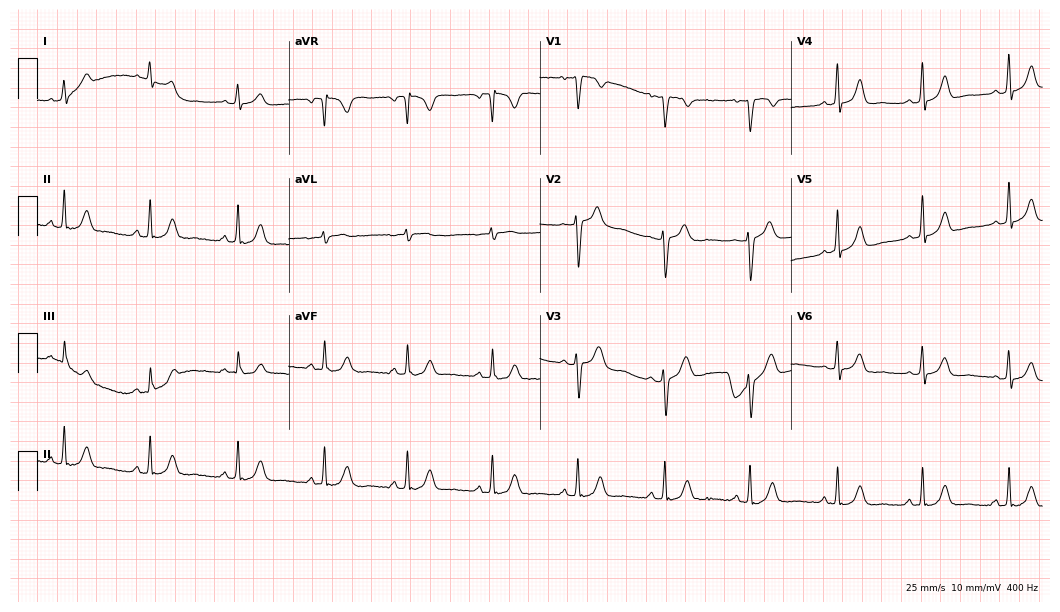
12-lead ECG from a female patient, 28 years old. Screened for six findings — first-degree AV block, right bundle branch block, left bundle branch block, sinus bradycardia, atrial fibrillation, sinus tachycardia — none is recorded. Only these six findings were labelled.